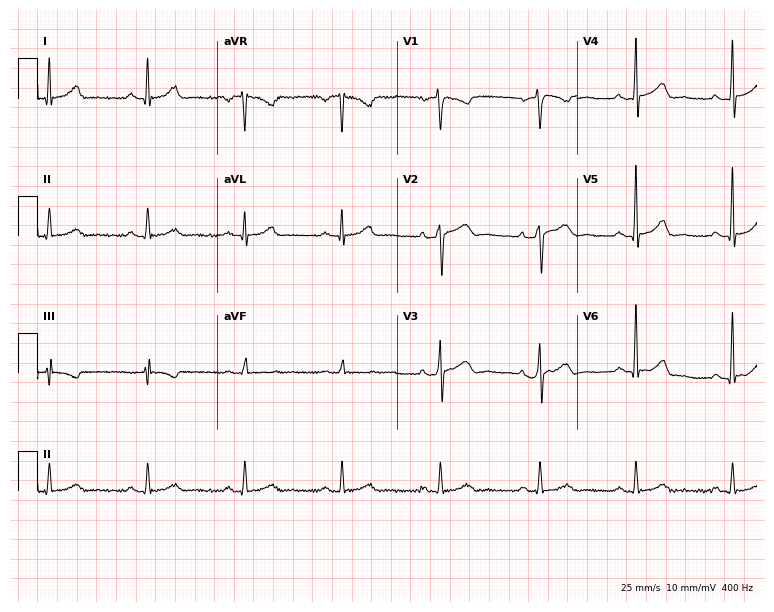
Standard 12-lead ECG recorded from a 46-year-old man. Read as a normal ECG.